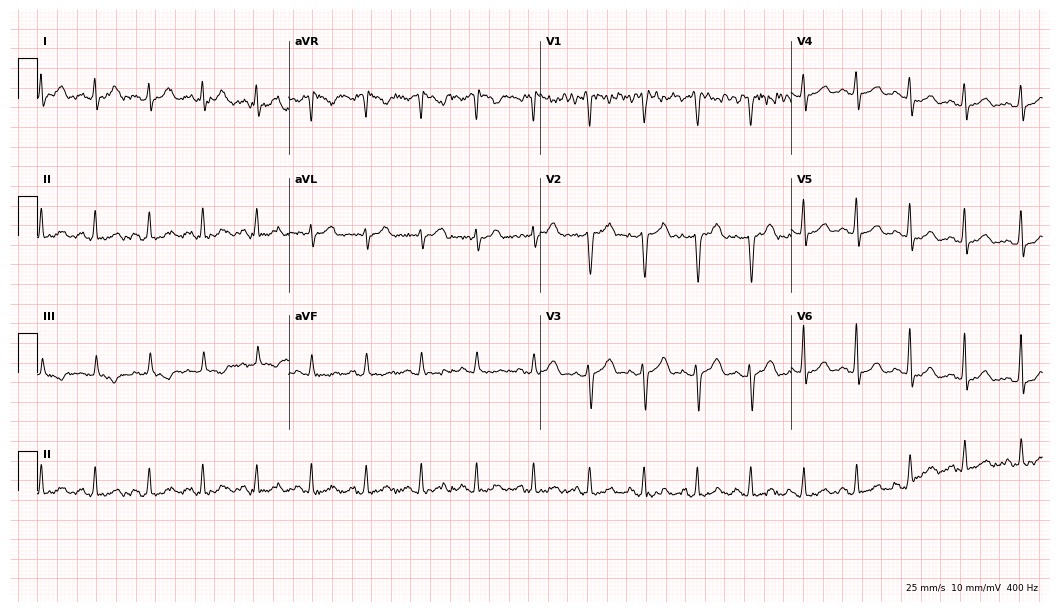
ECG (10.2-second recording at 400 Hz) — a female, 34 years old. Screened for six findings — first-degree AV block, right bundle branch block, left bundle branch block, sinus bradycardia, atrial fibrillation, sinus tachycardia — none is recorded.